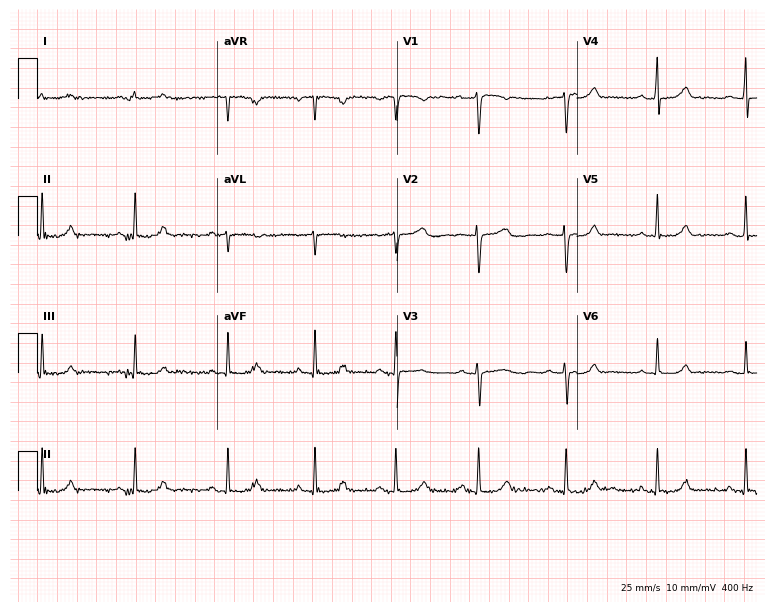
Resting 12-lead electrocardiogram. Patient: a woman, 20 years old. Read as a normal ECG.